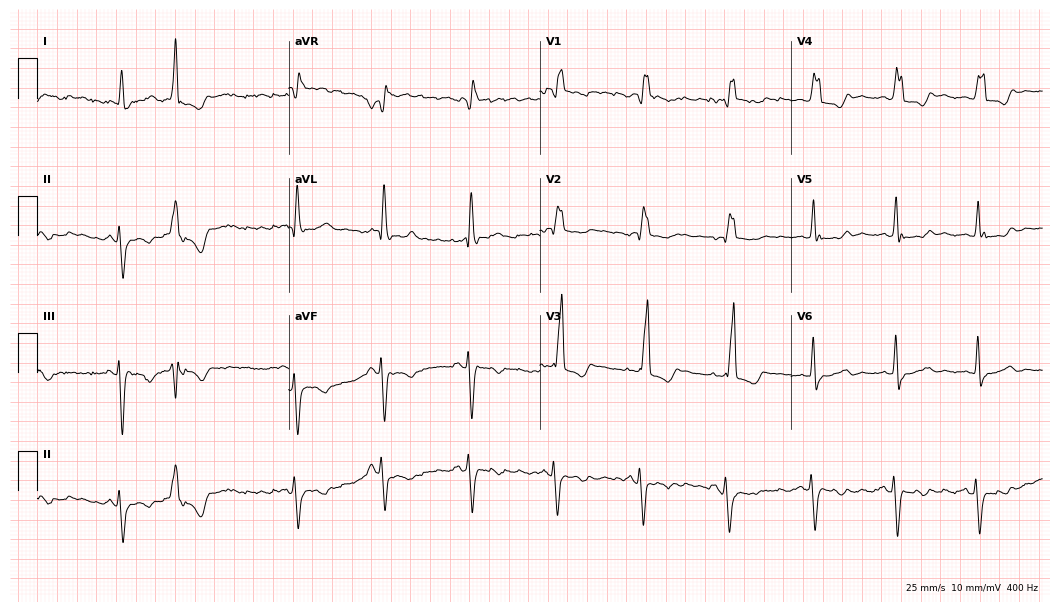
Electrocardiogram (10.2-second recording at 400 Hz), a 76-year-old female. Interpretation includes right bundle branch block.